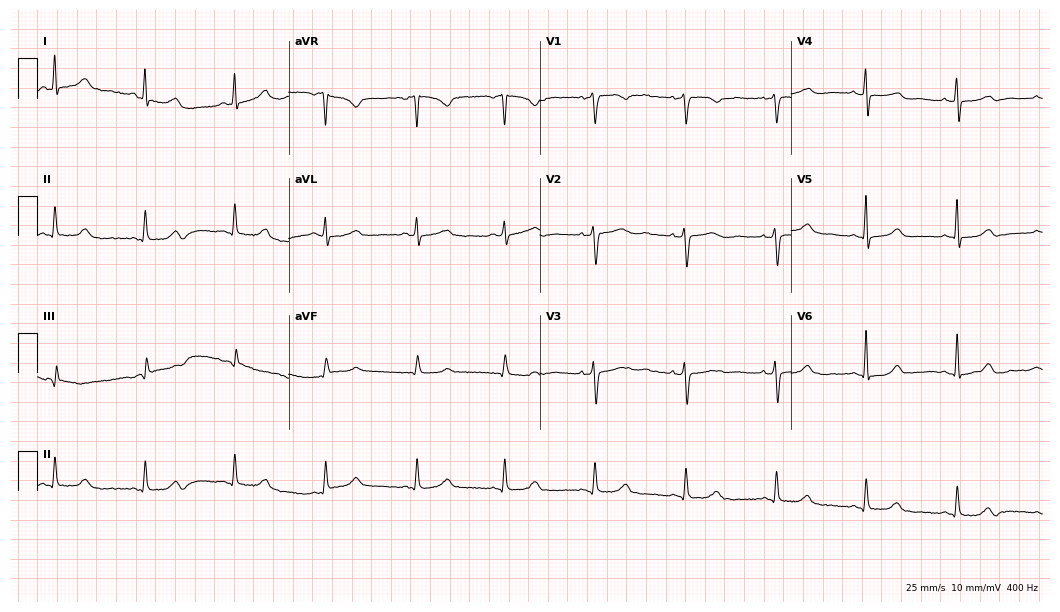
12-lead ECG from a 52-year-old woman. Labelled as a normal ECG.